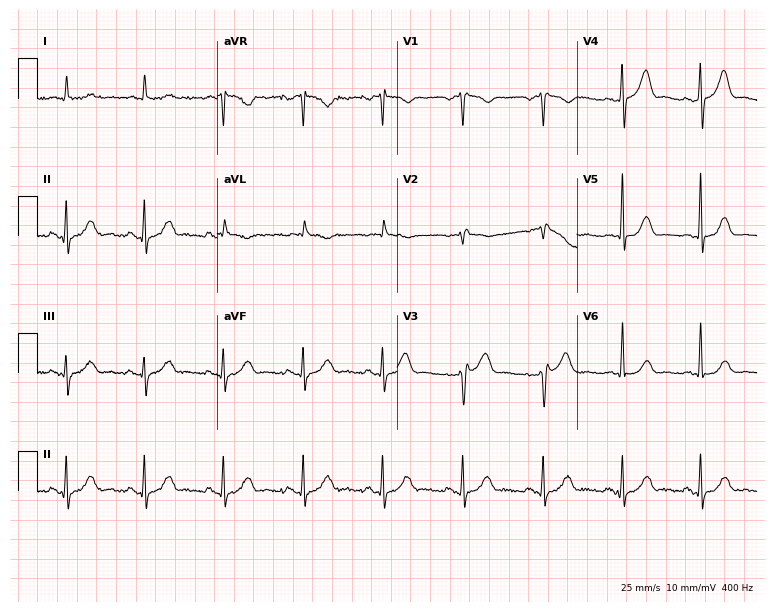
Resting 12-lead electrocardiogram (7.3-second recording at 400 Hz). Patient: a male, 67 years old. Read as a normal ECG.